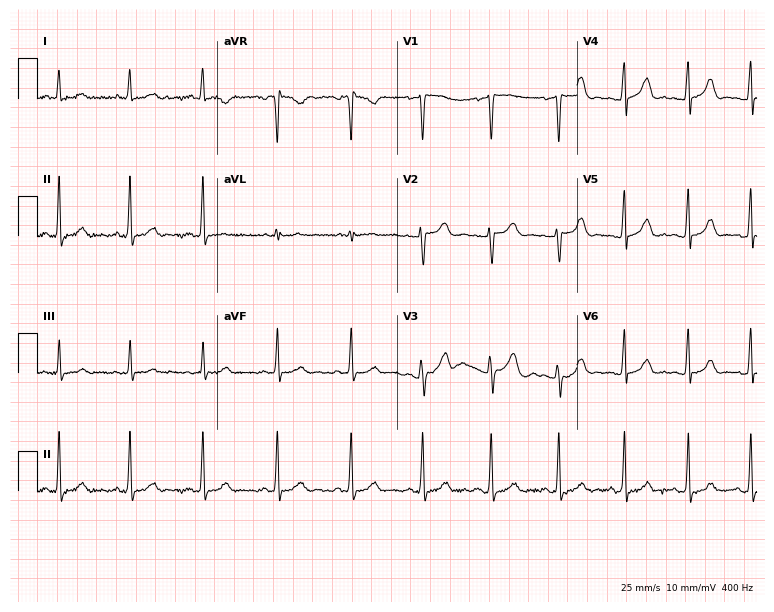
Electrocardiogram, a 28-year-old female patient. Overall reading on record: normal ECG.